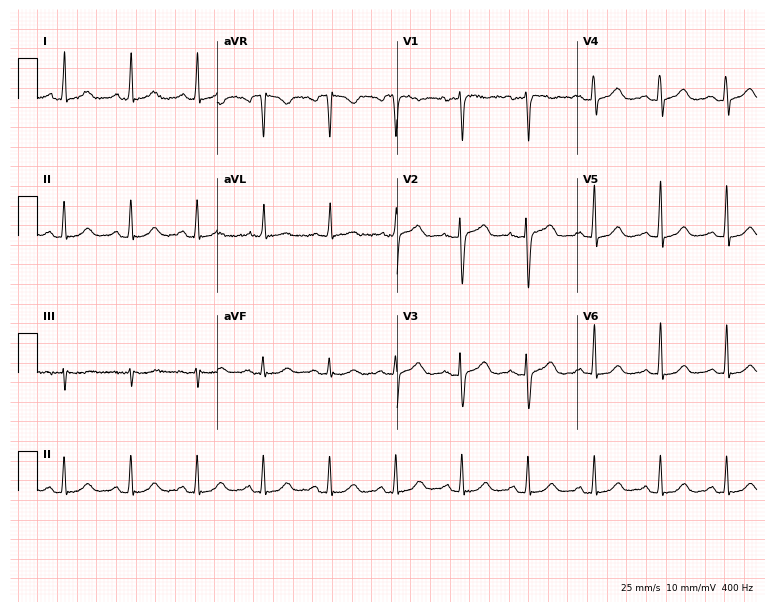
Electrocardiogram (7.3-second recording at 400 Hz), a woman, 68 years old. Overall reading on record: normal ECG.